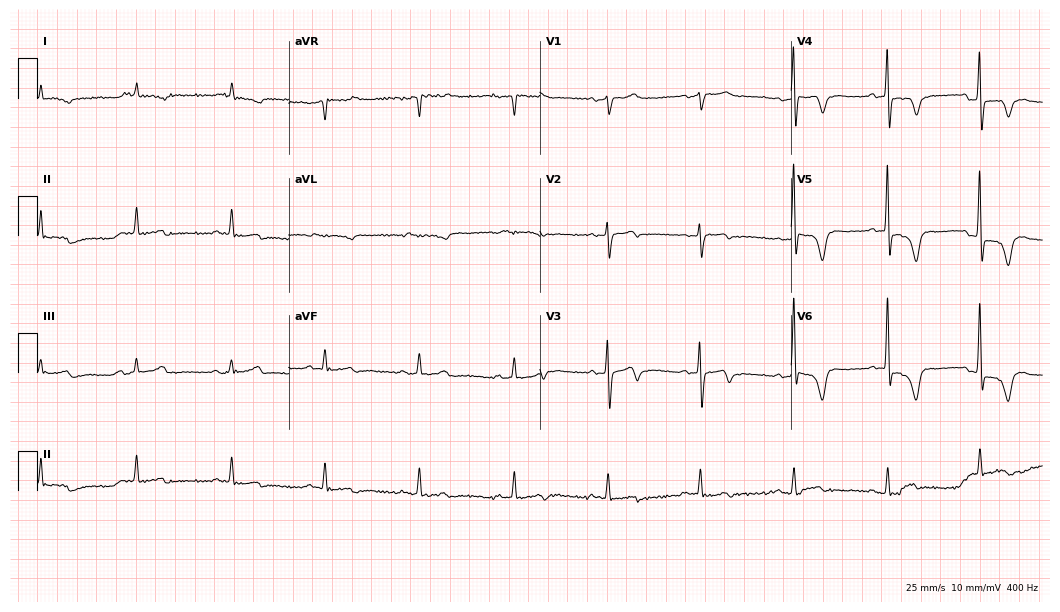
Electrocardiogram (10.2-second recording at 400 Hz), a 78-year-old man. Of the six screened findings (first-degree AV block, right bundle branch block (RBBB), left bundle branch block (LBBB), sinus bradycardia, atrial fibrillation (AF), sinus tachycardia), none is recorded. Other findings, if any, are not listed.